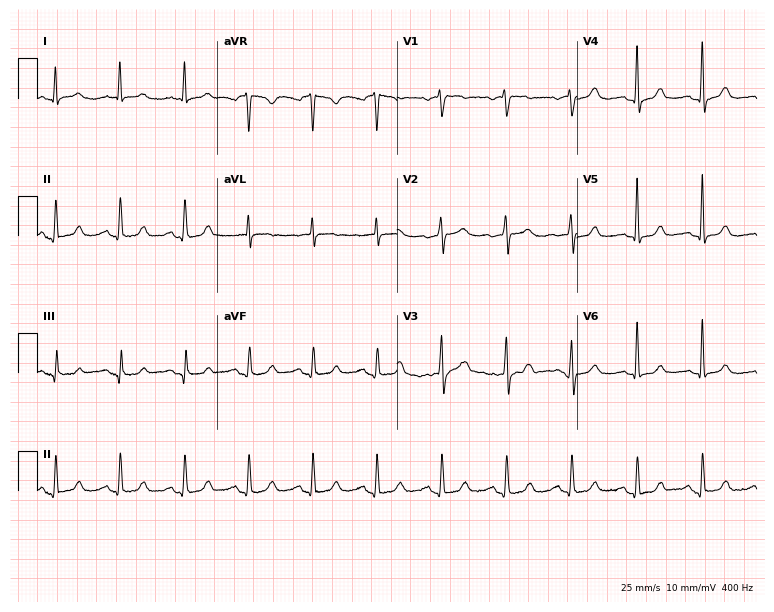
ECG (7.3-second recording at 400 Hz) — a 63-year-old female. Screened for six findings — first-degree AV block, right bundle branch block, left bundle branch block, sinus bradycardia, atrial fibrillation, sinus tachycardia — none is recorded. Only these six findings were labelled.